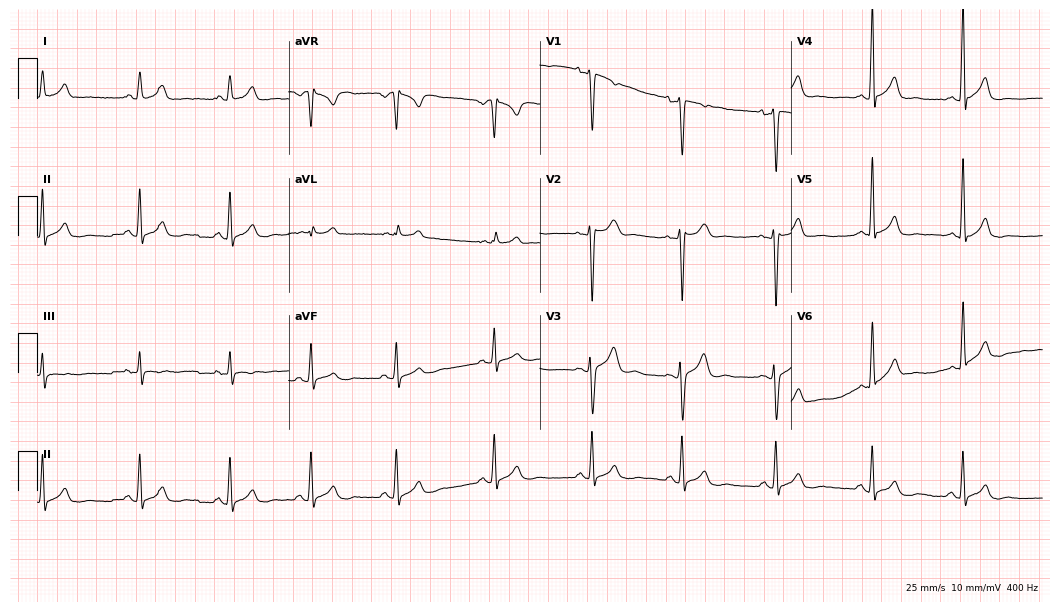
Standard 12-lead ECG recorded from a 28-year-old male (10.2-second recording at 400 Hz). Read as a normal ECG.